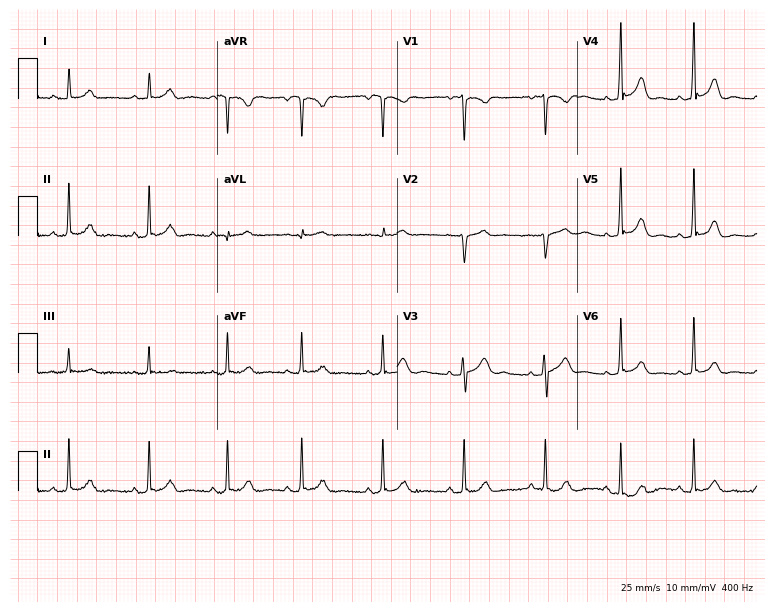
12-lead ECG from a woman, 17 years old (7.3-second recording at 400 Hz). Recorded interpretation: within normal limits.